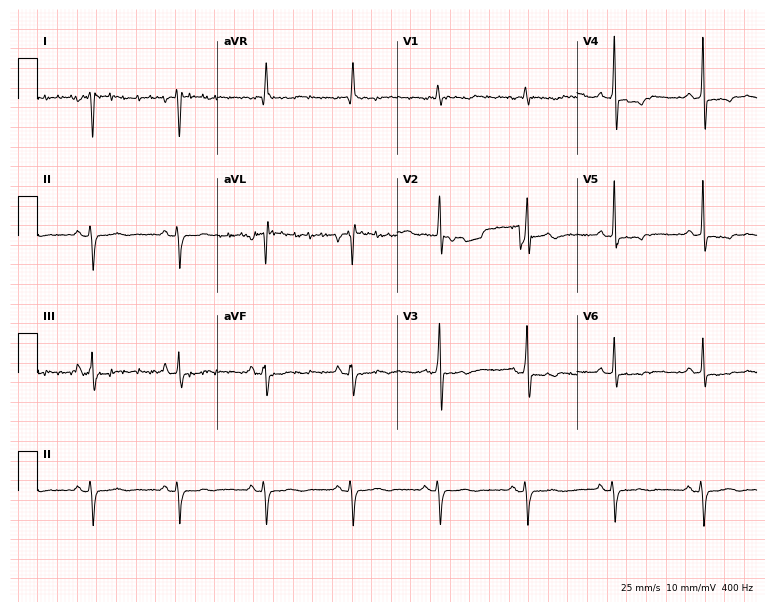
Resting 12-lead electrocardiogram (7.3-second recording at 400 Hz). Patient: a 60-year-old female. None of these six findings is recorded: first-degree AV block, right bundle branch block, left bundle branch block, sinus bradycardia, atrial fibrillation, sinus tachycardia.